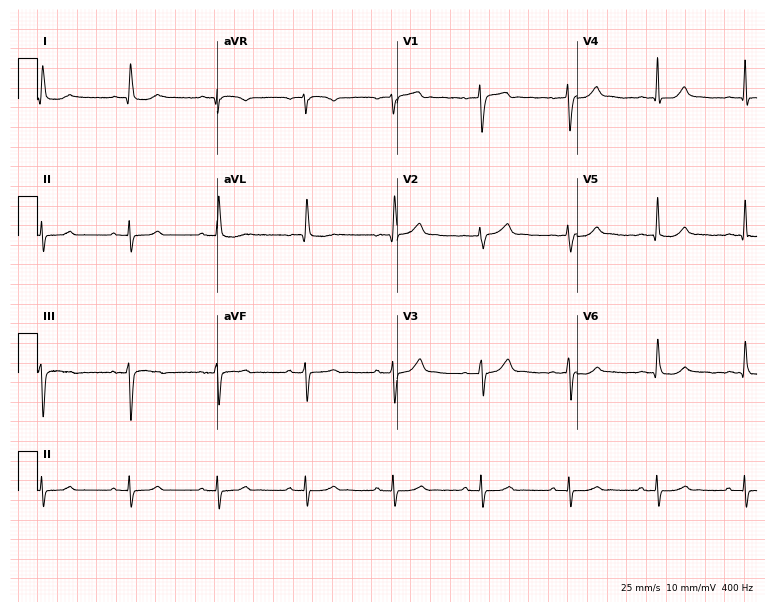
ECG (7.3-second recording at 400 Hz) — a woman, 65 years old. Screened for six findings — first-degree AV block, right bundle branch block, left bundle branch block, sinus bradycardia, atrial fibrillation, sinus tachycardia — none is recorded.